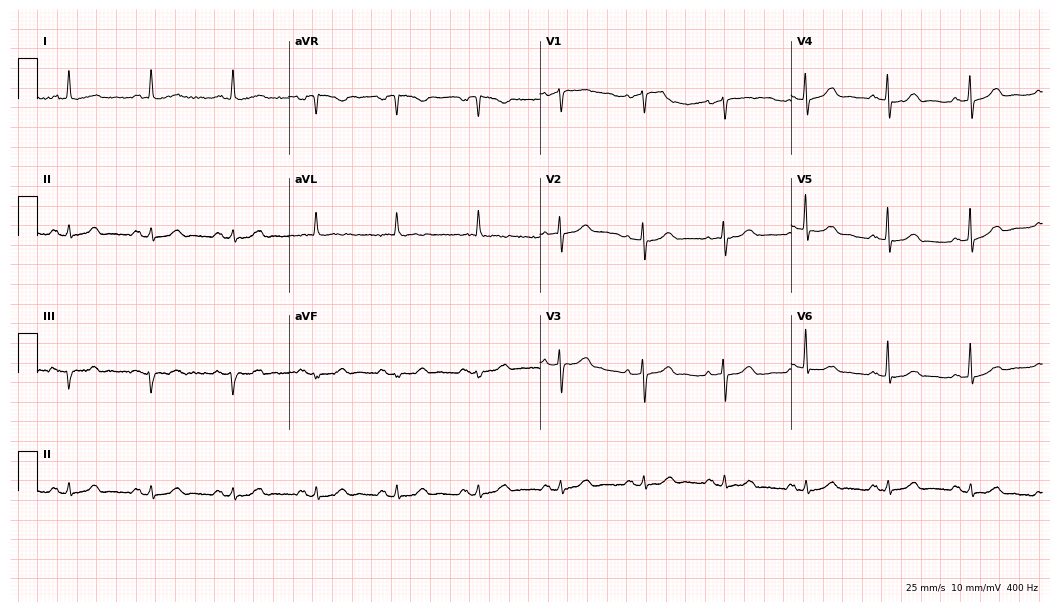
Resting 12-lead electrocardiogram (10.2-second recording at 400 Hz). Patient: a female, 84 years old. None of these six findings is recorded: first-degree AV block, right bundle branch block, left bundle branch block, sinus bradycardia, atrial fibrillation, sinus tachycardia.